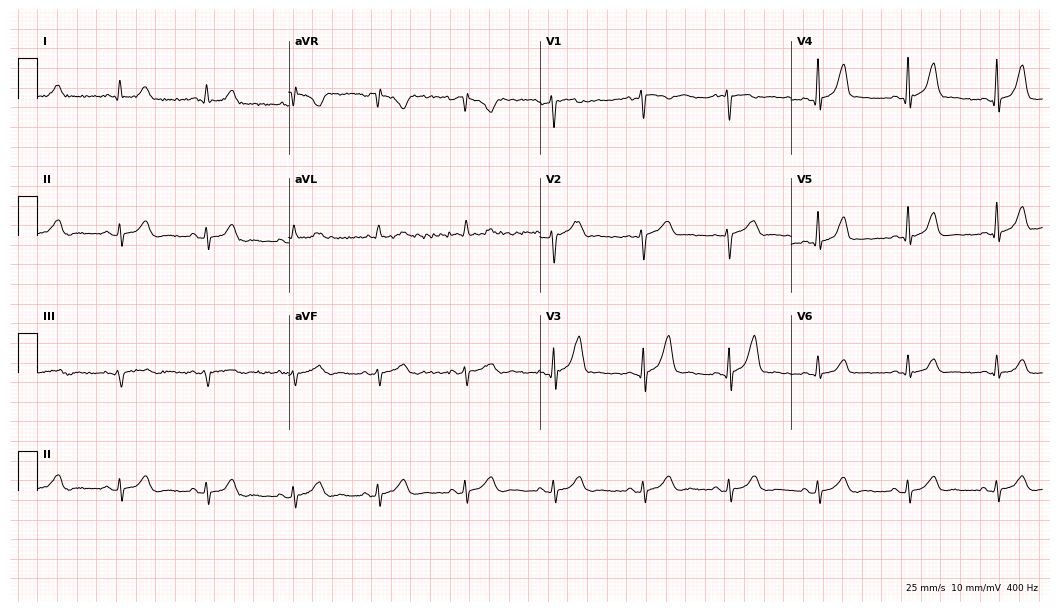
Resting 12-lead electrocardiogram (10.2-second recording at 400 Hz). Patient: a 43-year-old female. None of these six findings is recorded: first-degree AV block, right bundle branch block, left bundle branch block, sinus bradycardia, atrial fibrillation, sinus tachycardia. Only these six findings were labelled.